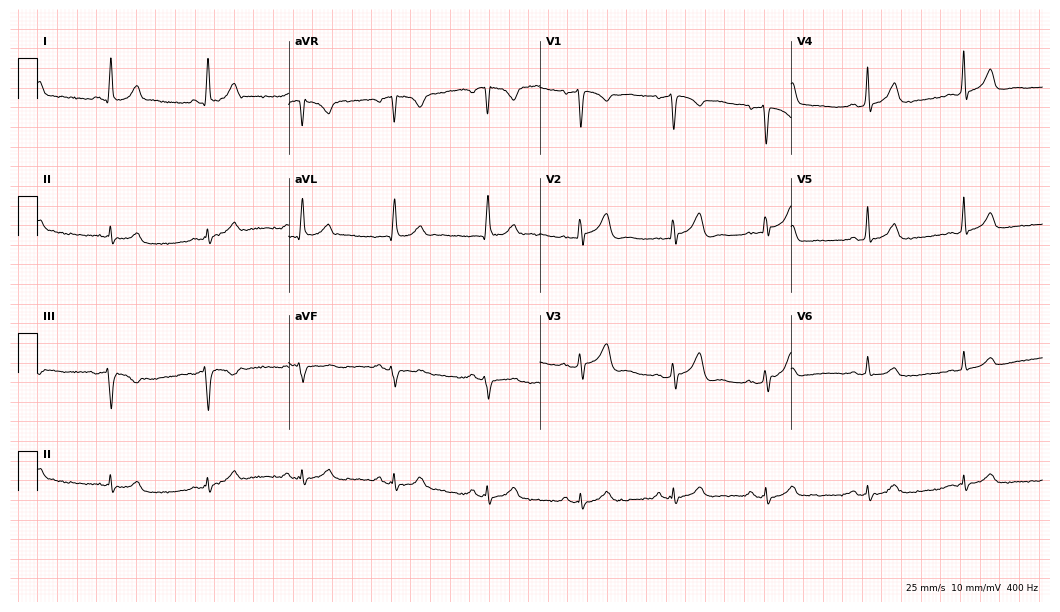
Electrocardiogram, a 48-year-old man. Overall reading on record: normal ECG.